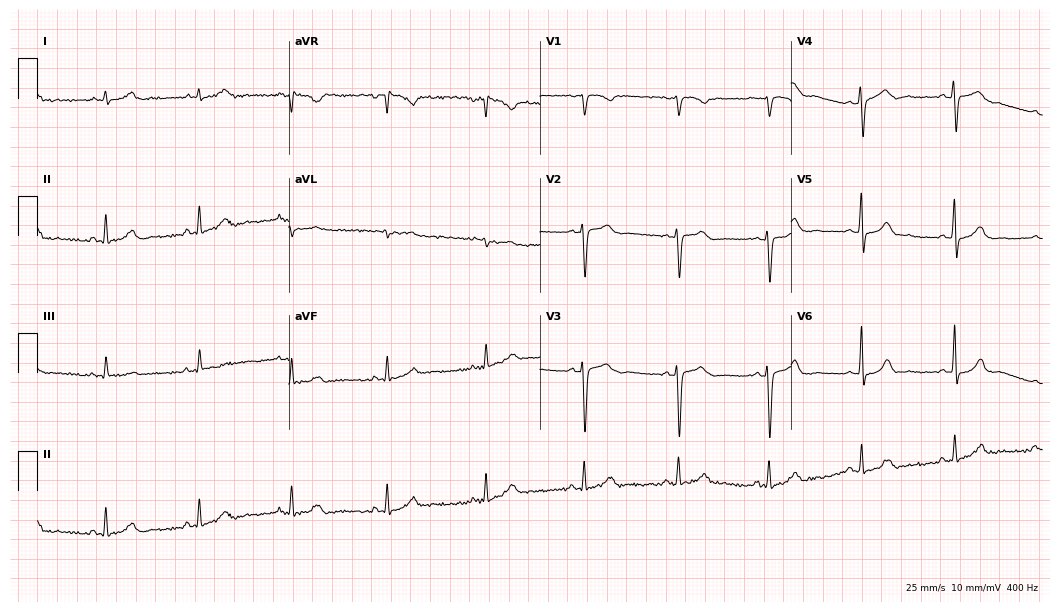
Resting 12-lead electrocardiogram. Patient: a 35-year-old female. Read as a normal ECG.